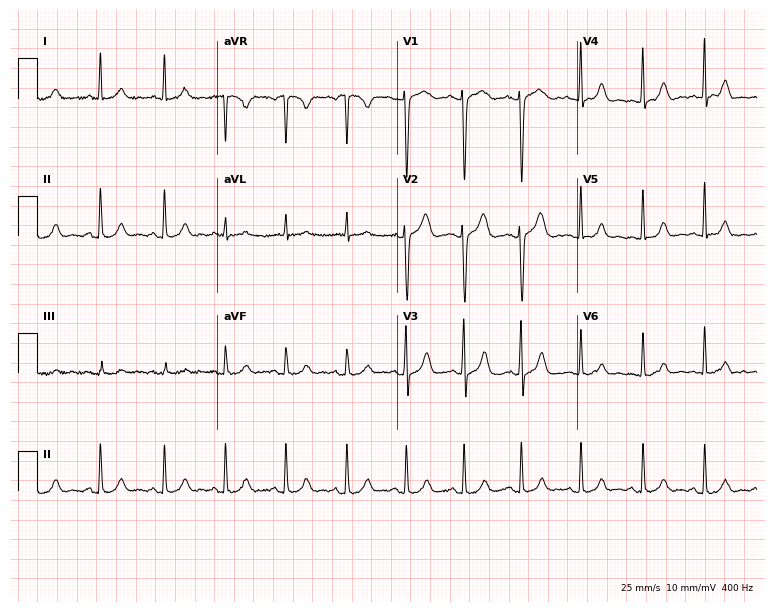
Standard 12-lead ECG recorded from a female patient, 24 years old (7.3-second recording at 400 Hz). Read as a normal ECG.